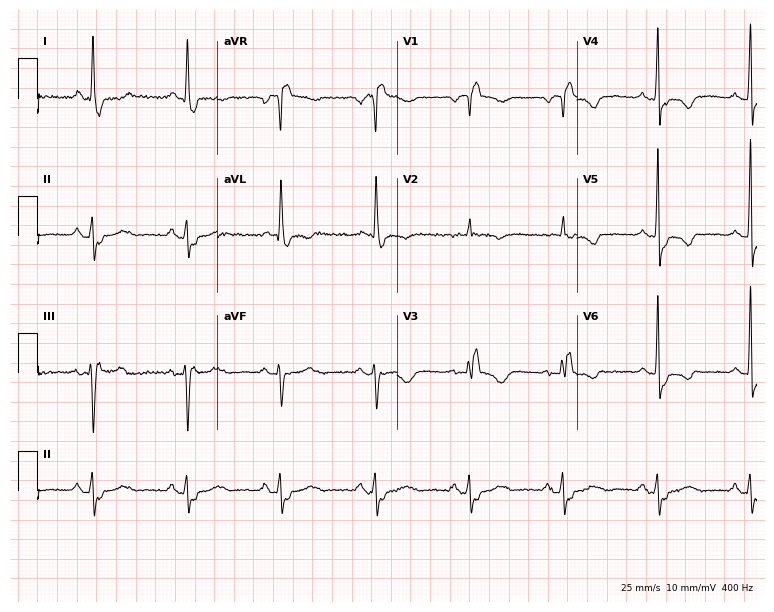
Electrocardiogram (7.3-second recording at 400 Hz), a female patient, 82 years old. Interpretation includes right bundle branch block (RBBB).